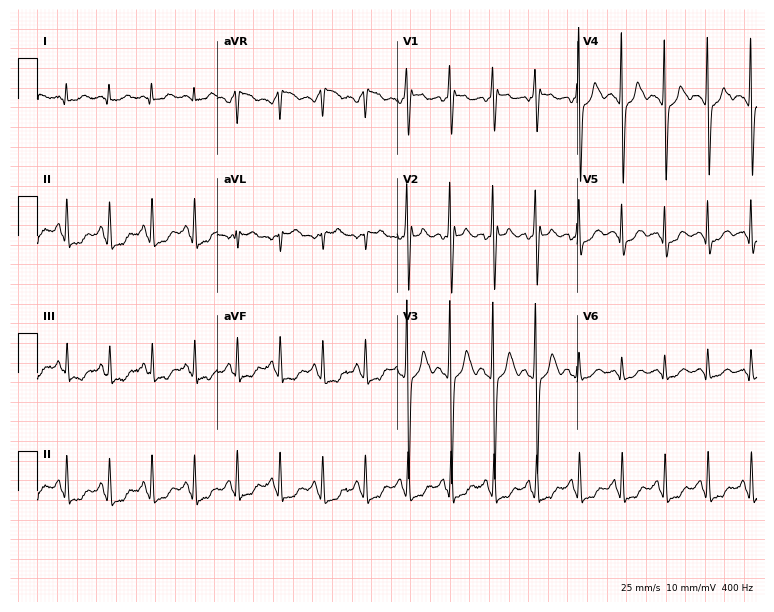
ECG — a female patient, 43 years old. Findings include sinus tachycardia (a sinus rate of 100 beats per minute or more).